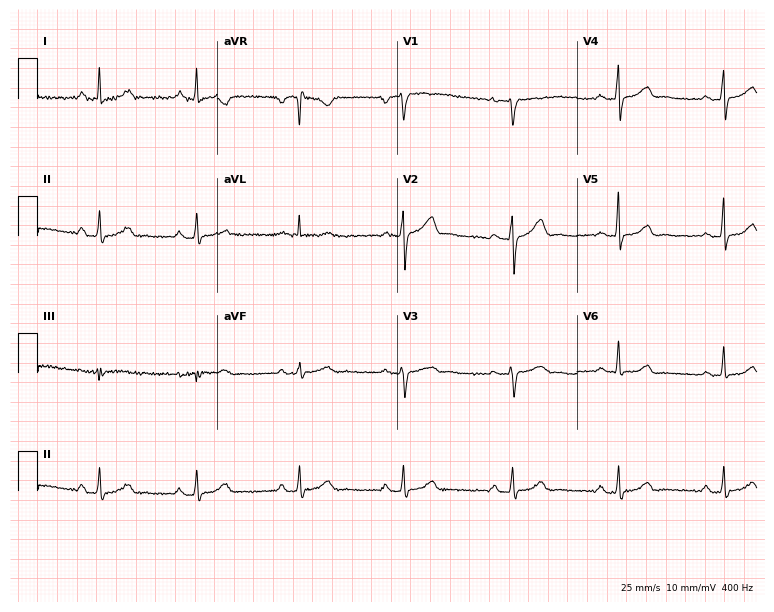
Resting 12-lead electrocardiogram. Patient: a 41-year-old woman. Read as a normal ECG.